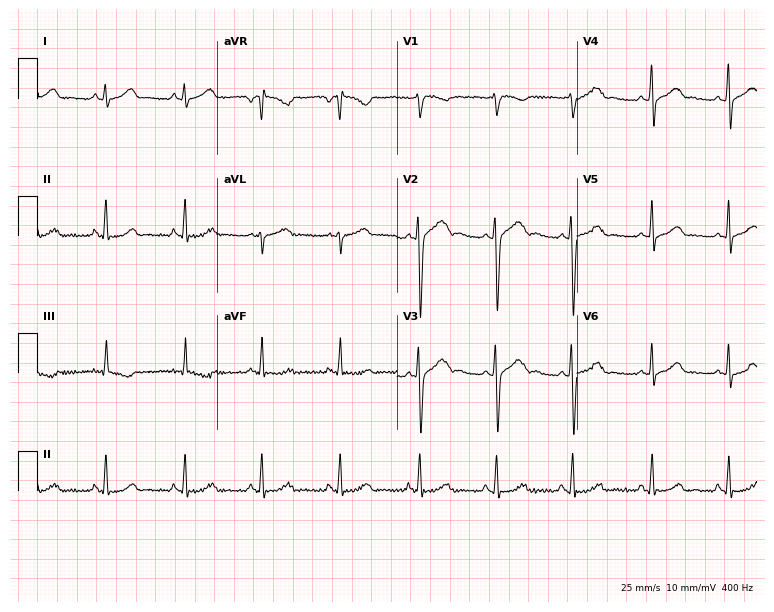
ECG (7.3-second recording at 400 Hz) — a female patient, 22 years old. Labelled as a normal ECG.